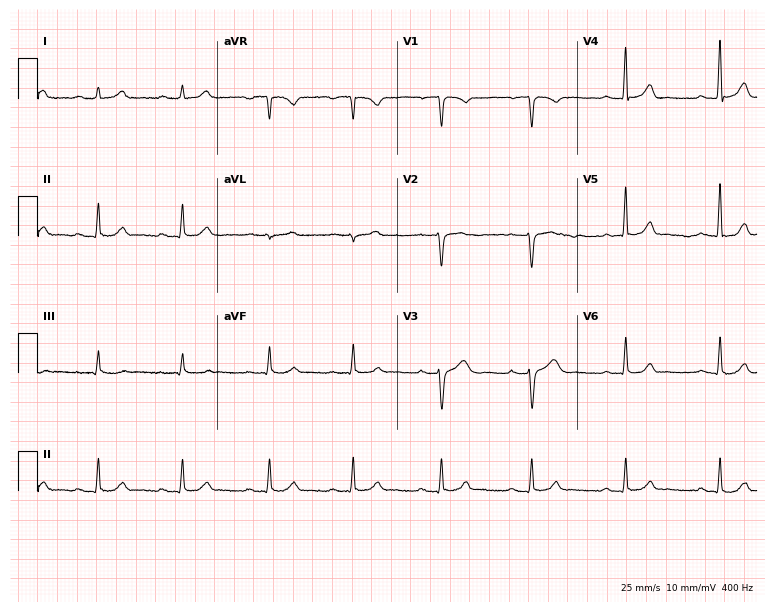
ECG (7.3-second recording at 400 Hz) — a woman, 30 years old. Screened for six findings — first-degree AV block, right bundle branch block, left bundle branch block, sinus bradycardia, atrial fibrillation, sinus tachycardia — none is recorded.